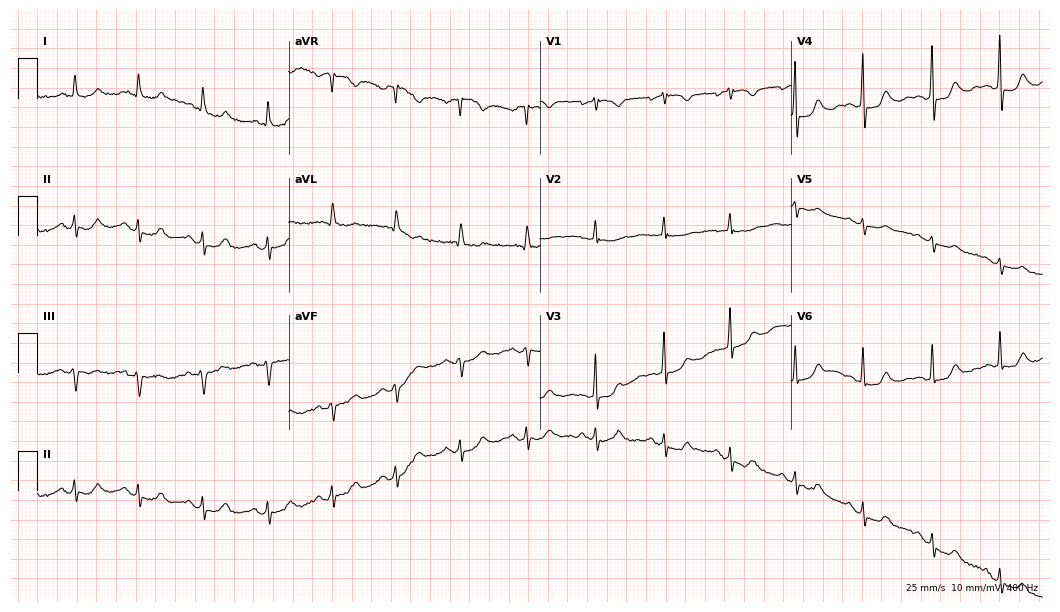
12-lead ECG from an 85-year-old female patient (10.2-second recording at 400 Hz). No first-degree AV block, right bundle branch block, left bundle branch block, sinus bradycardia, atrial fibrillation or sinus tachycardia recorded for this tracing.